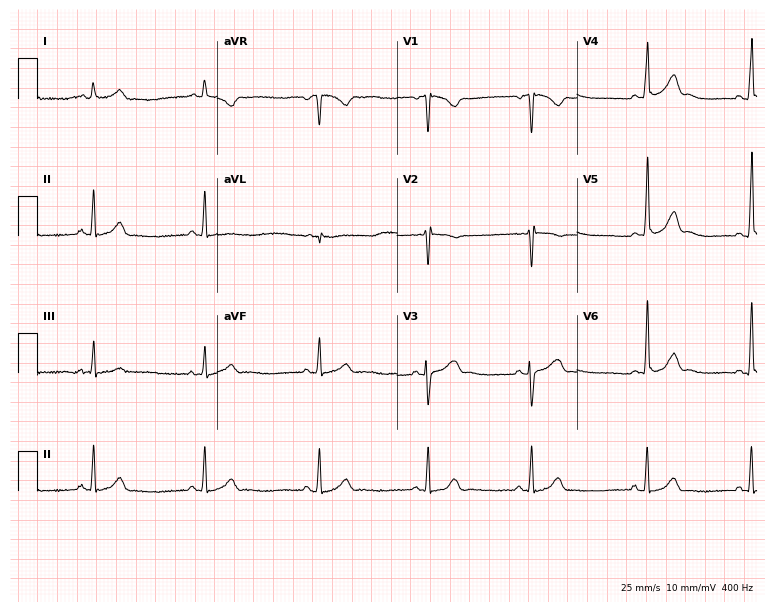
Resting 12-lead electrocardiogram. Patient: a 17-year-old woman. Read as a normal ECG.